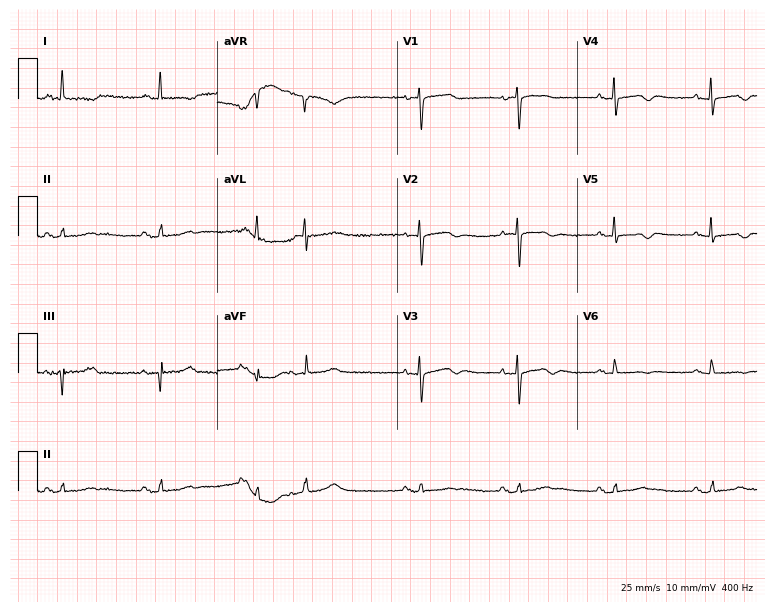
Electrocardiogram (7.3-second recording at 400 Hz), a 71-year-old female. Of the six screened findings (first-degree AV block, right bundle branch block, left bundle branch block, sinus bradycardia, atrial fibrillation, sinus tachycardia), none is recorded. Findings outside these six are not listed.